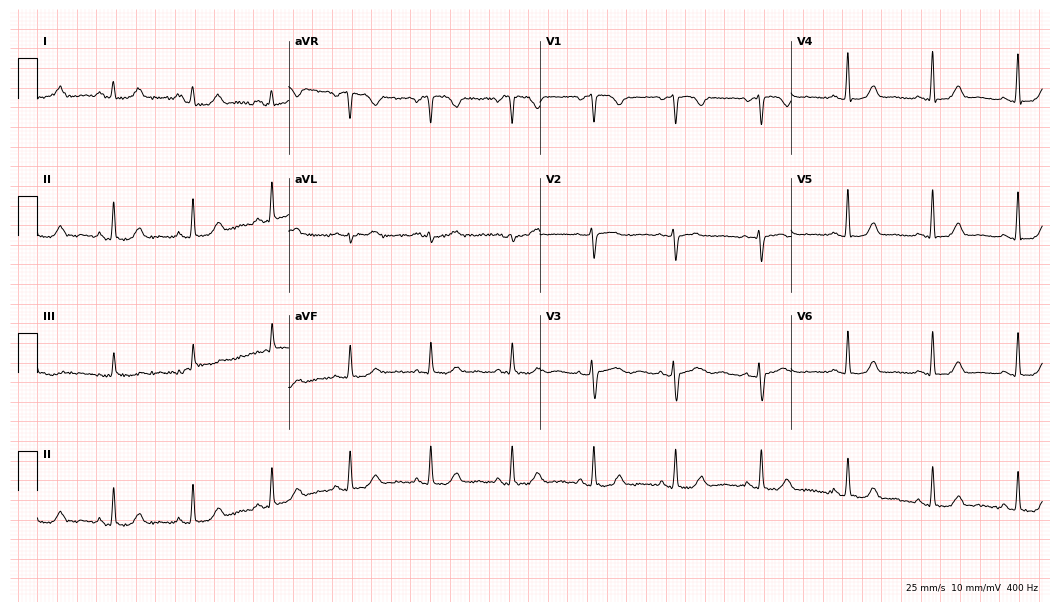
Electrocardiogram (10.2-second recording at 400 Hz), a female patient, 50 years old. Of the six screened findings (first-degree AV block, right bundle branch block (RBBB), left bundle branch block (LBBB), sinus bradycardia, atrial fibrillation (AF), sinus tachycardia), none is recorded.